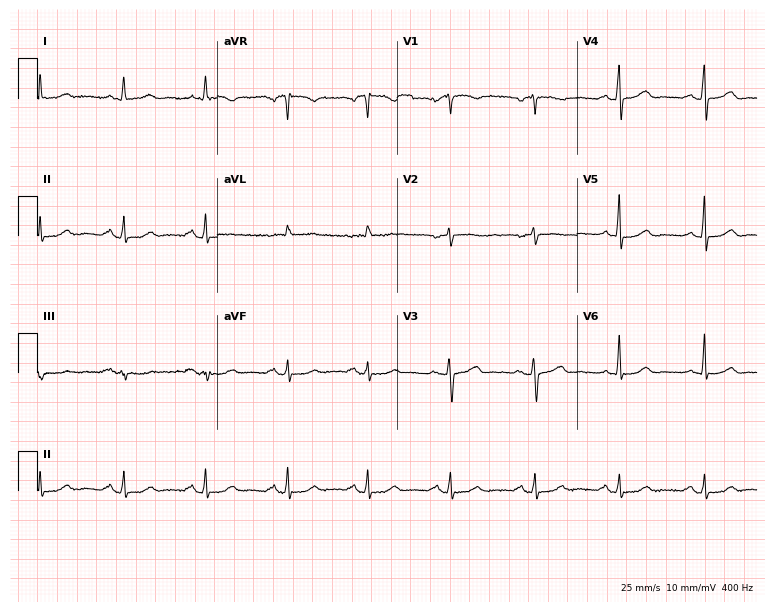
Electrocardiogram (7.3-second recording at 400 Hz), an 81-year-old man. Of the six screened findings (first-degree AV block, right bundle branch block (RBBB), left bundle branch block (LBBB), sinus bradycardia, atrial fibrillation (AF), sinus tachycardia), none is recorded.